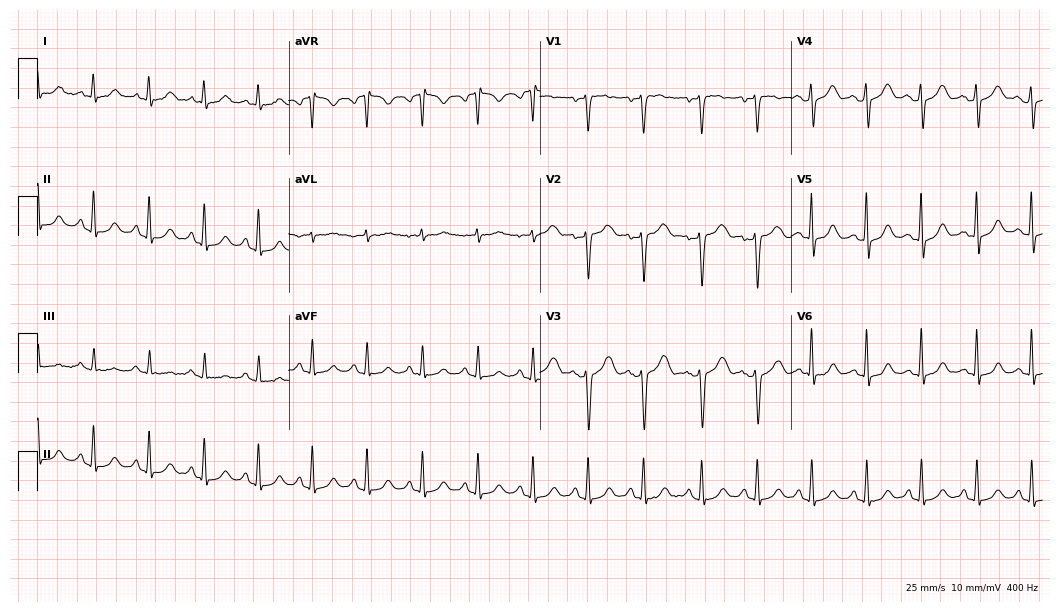
12-lead ECG from a 41-year-old female patient (10.2-second recording at 400 Hz). Shows sinus tachycardia (a sinus rate of 100 beats per minute or more).